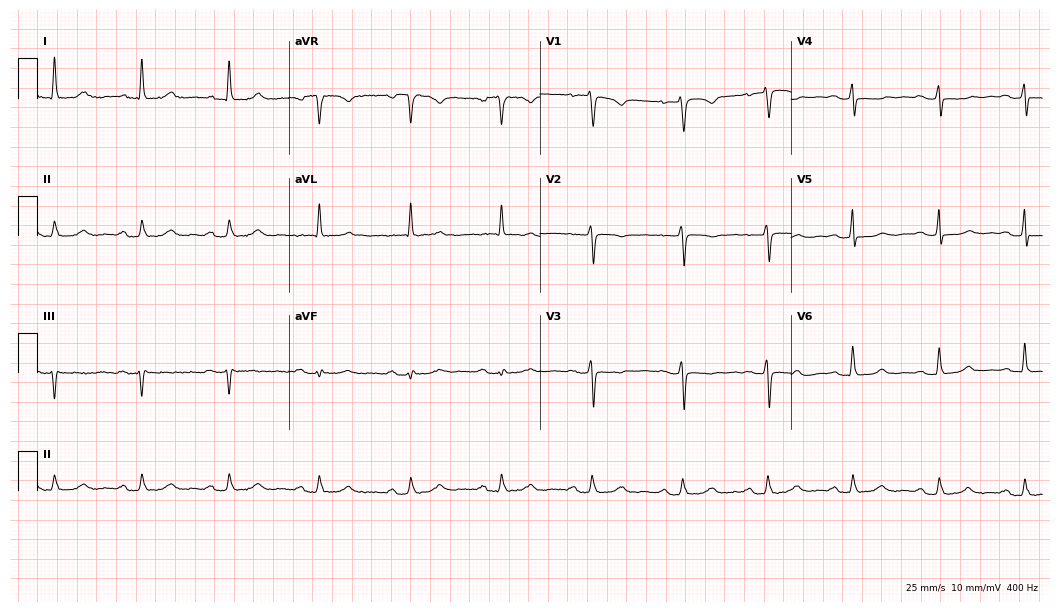
Standard 12-lead ECG recorded from a 68-year-old female patient. The tracing shows first-degree AV block.